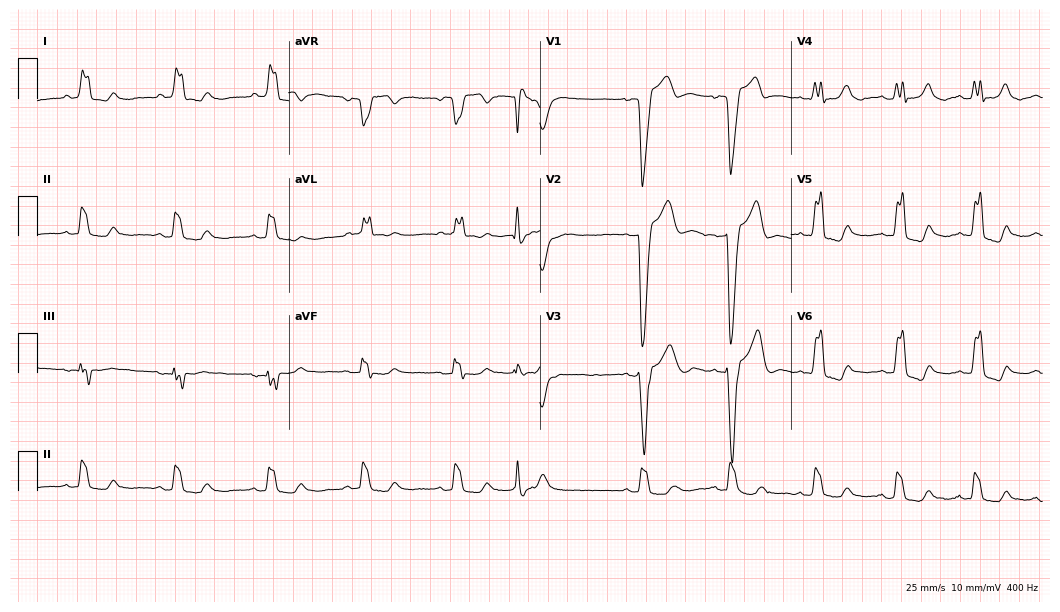
12-lead ECG from a man, 60 years old (10.2-second recording at 400 Hz). Shows left bundle branch block (LBBB).